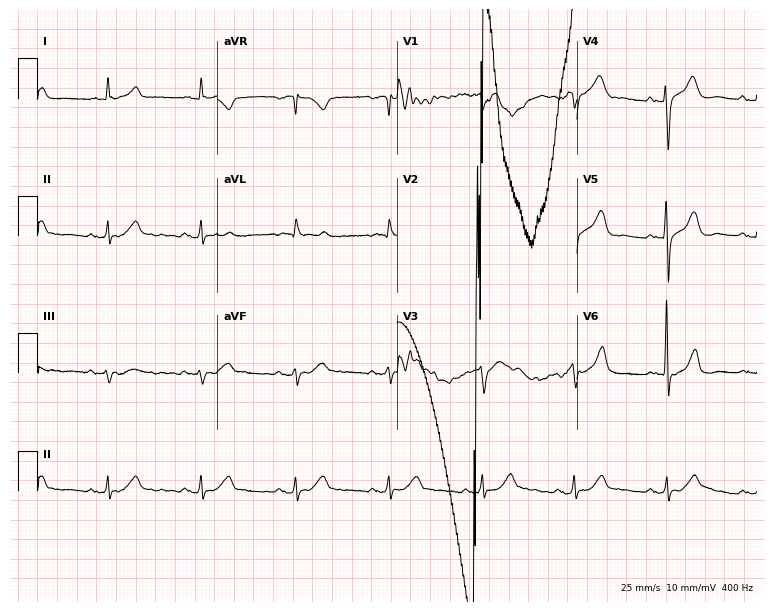
ECG — a male, 79 years old. Screened for six findings — first-degree AV block, right bundle branch block (RBBB), left bundle branch block (LBBB), sinus bradycardia, atrial fibrillation (AF), sinus tachycardia — none is recorded.